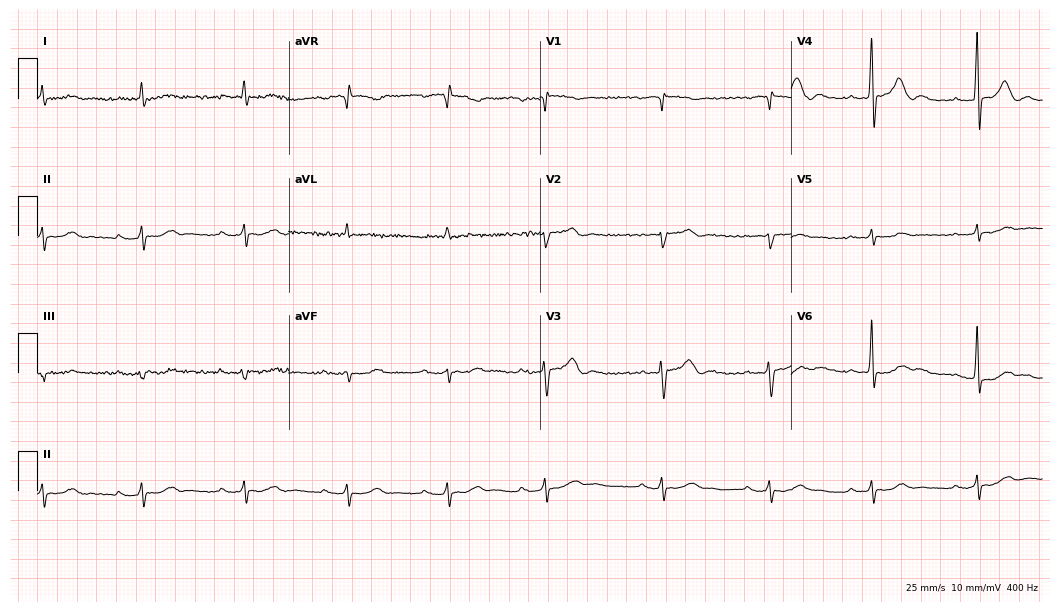
ECG — a male, 85 years old. Findings include first-degree AV block.